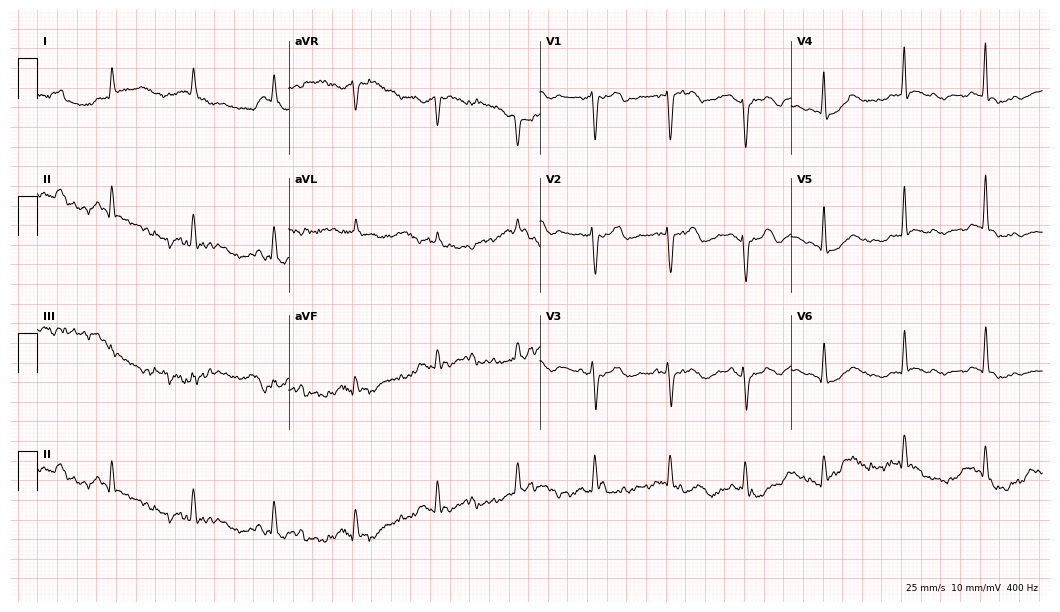
ECG (10.2-second recording at 400 Hz) — a 70-year-old man. Screened for six findings — first-degree AV block, right bundle branch block (RBBB), left bundle branch block (LBBB), sinus bradycardia, atrial fibrillation (AF), sinus tachycardia — none is recorded. Other findings, if any, are not listed.